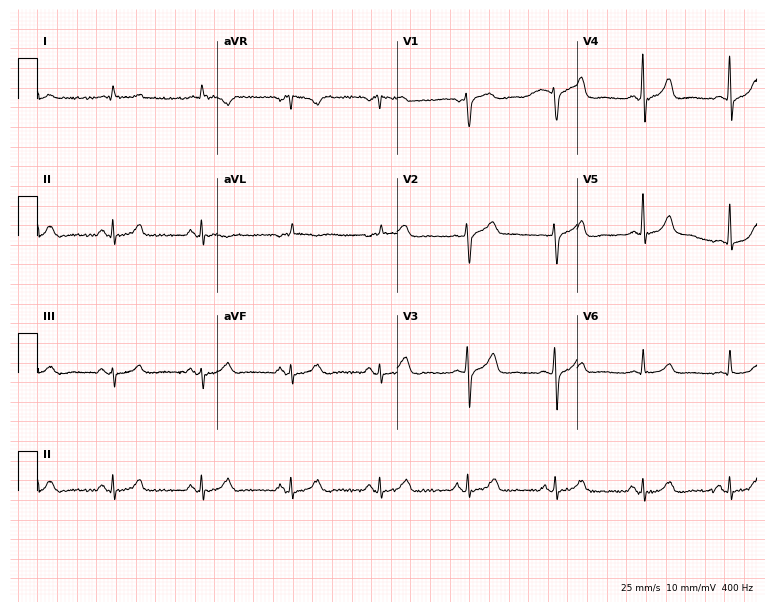
Electrocardiogram (7.3-second recording at 400 Hz), a 73-year-old male. Overall reading on record: normal ECG.